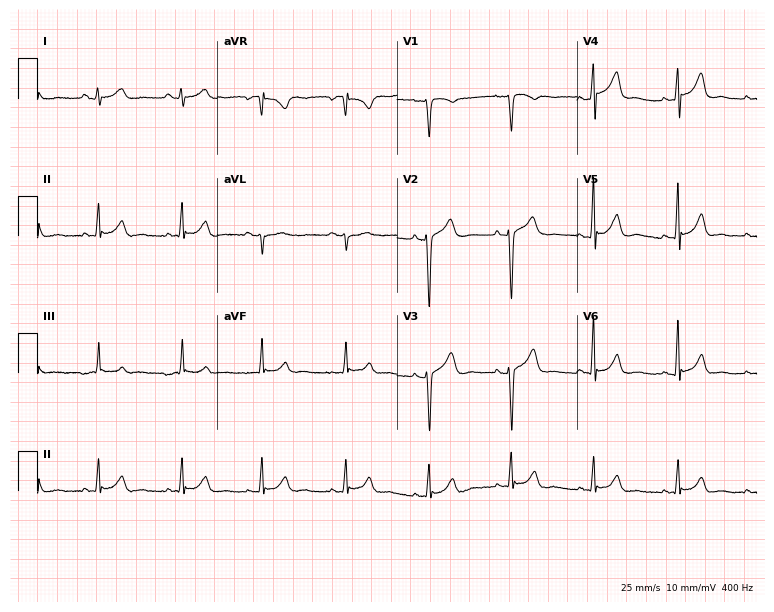
Resting 12-lead electrocardiogram. Patient: a 40-year-old female. Read as a normal ECG.